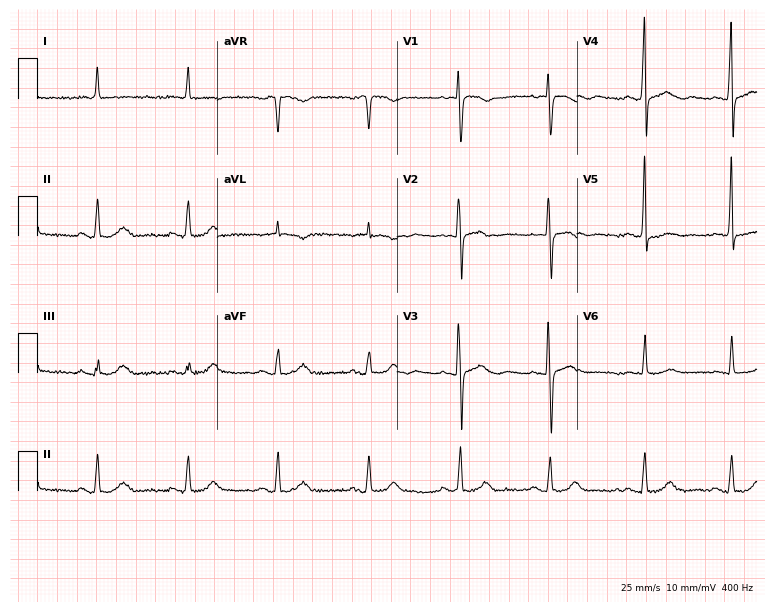
Resting 12-lead electrocardiogram. Patient: an 83-year-old female. None of these six findings is recorded: first-degree AV block, right bundle branch block (RBBB), left bundle branch block (LBBB), sinus bradycardia, atrial fibrillation (AF), sinus tachycardia.